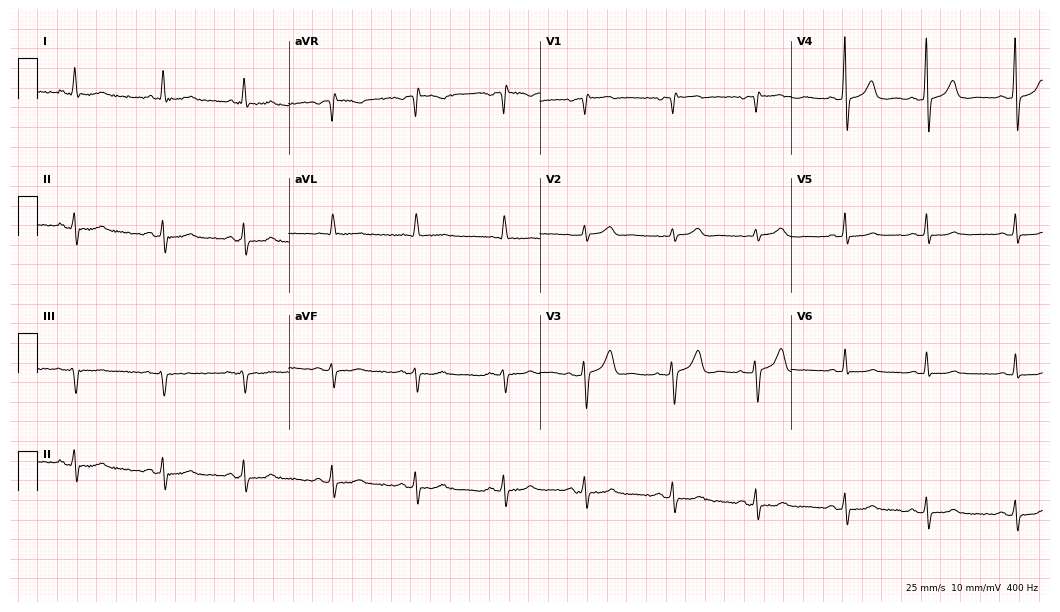
12-lead ECG from a female patient, 76 years old. Labelled as a normal ECG.